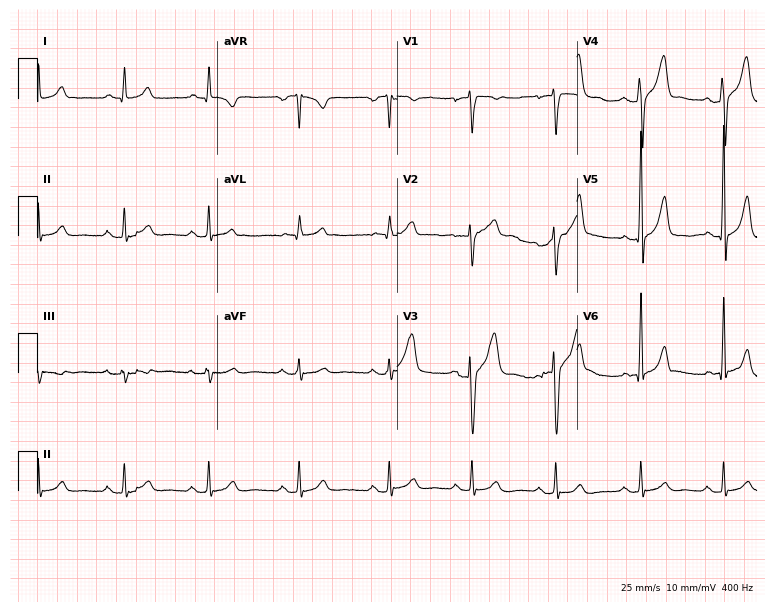
Resting 12-lead electrocardiogram. Patient: a 36-year-old male. Read as a normal ECG.